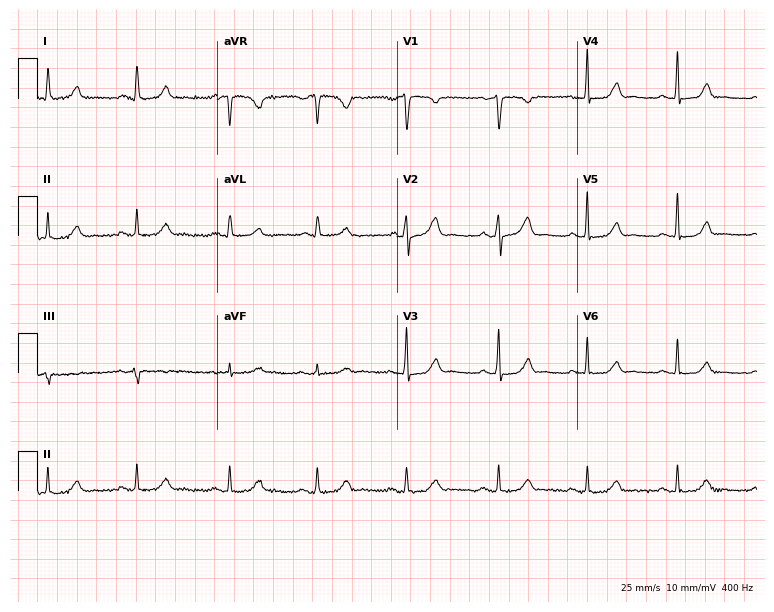
Standard 12-lead ECG recorded from a female, 41 years old (7.3-second recording at 400 Hz). Read as a normal ECG.